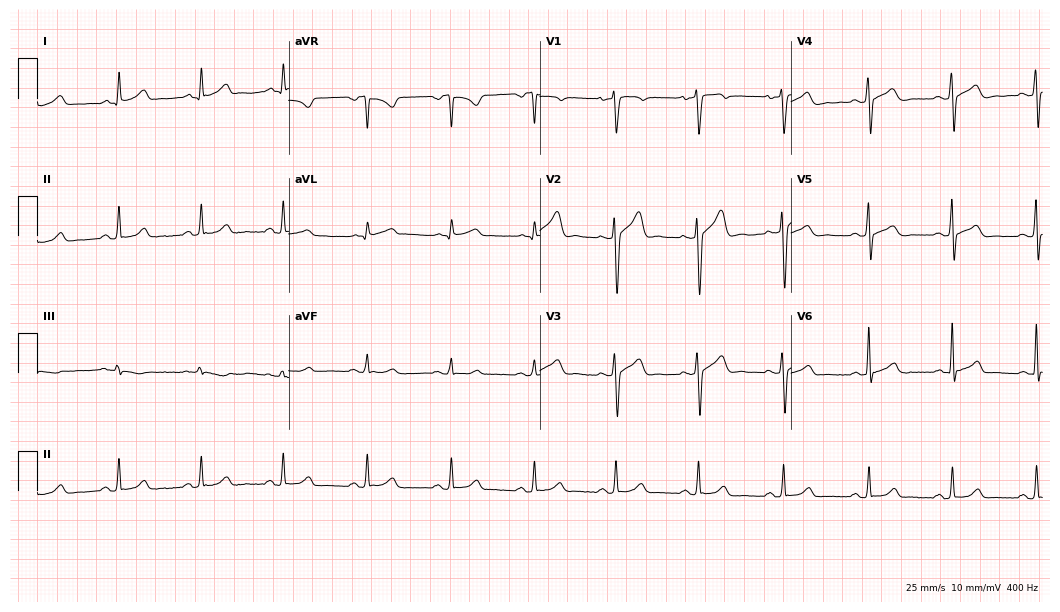
ECG (10.2-second recording at 400 Hz) — a male patient, 37 years old. Screened for six findings — first-degree AV block, right bundle branch block, left bundle branch block, sinus bradycardia, atrial fibrillation, sinus tachycardia — none is recorded. Only these six findings were labelled.